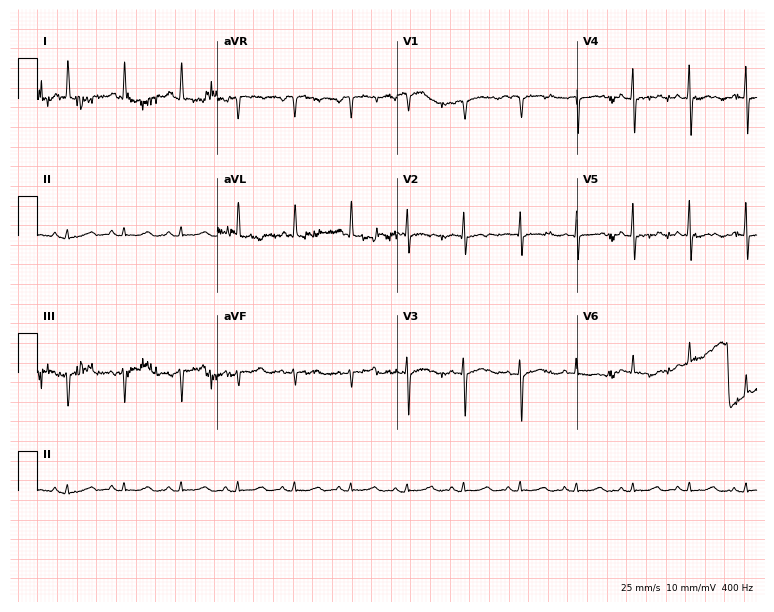
ECG — a female, 78 years old. Screened for six findings — first-degree AV block, right bundle branch block, left bundle branch block, sinus bradycardia, atrial fibrillation, sinus tachycardia — none is recorded. Other findings, if any, are not listed.